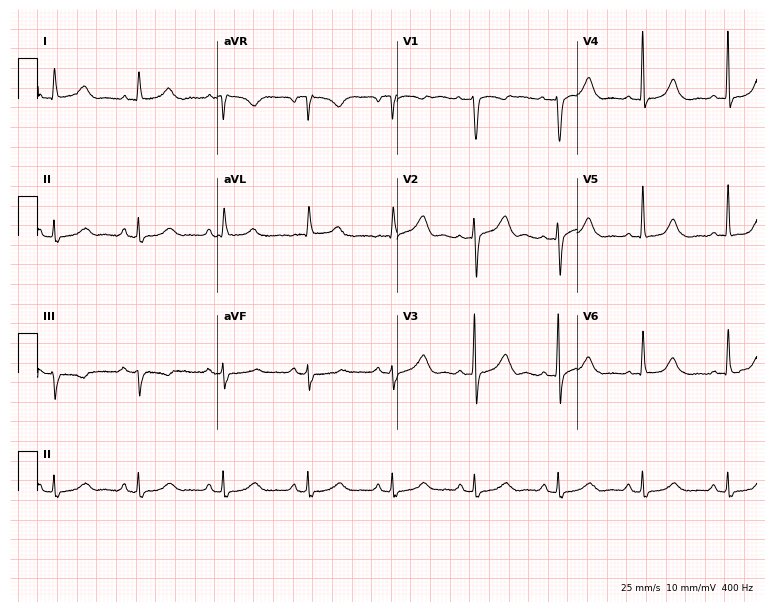
12-lead ECG from a female, 71 years old. No first-degree AV block, right bundle branch block (RBBB), left bundle branch block (LBBB), sinus bradycardia, atrial fibrillation (AF) or sinus tachycardia recorded for this tracing.